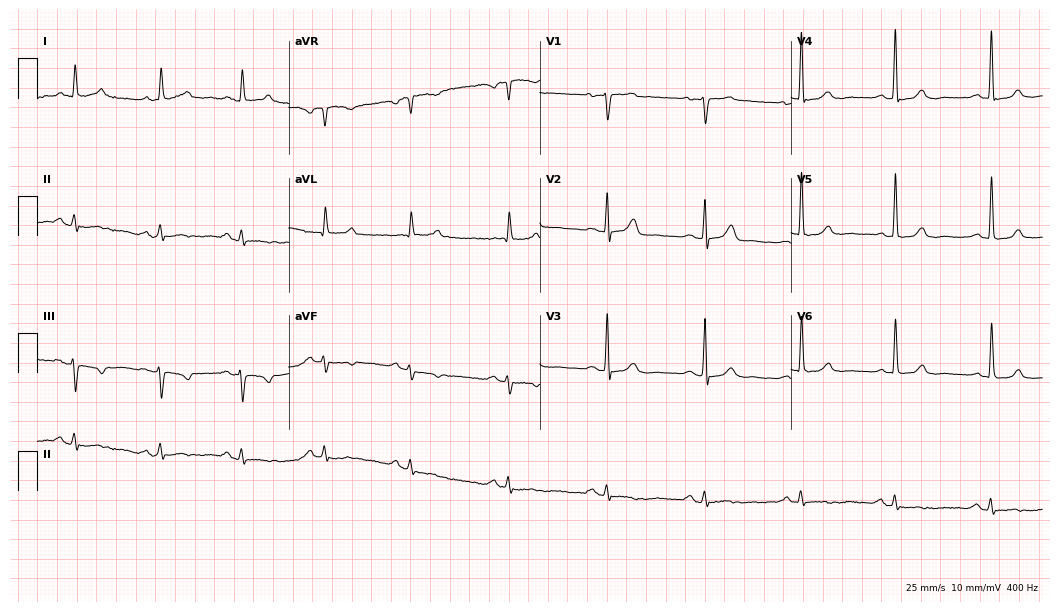
ECG (10.2-second recording at 400 Hz) — a male, 64 years old. Screened for six findings — first-degree AV block, right bundle branch block, left bundle branch block, sinus bradycardia, atrial fibrillation, sinus tachycardia — none is recorded.